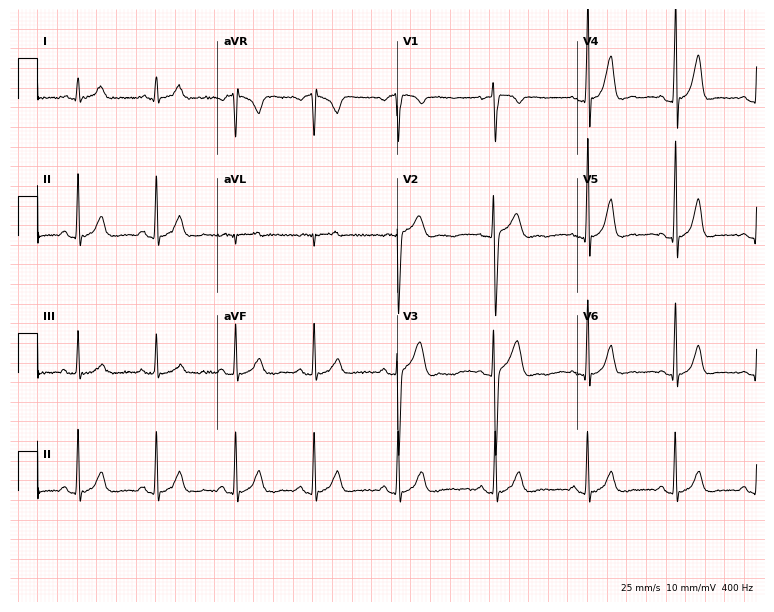
Electrocardiogram (7.3-second recording at 400 Hz), an 18-year-old male. Overall reading on record: normal ECG.